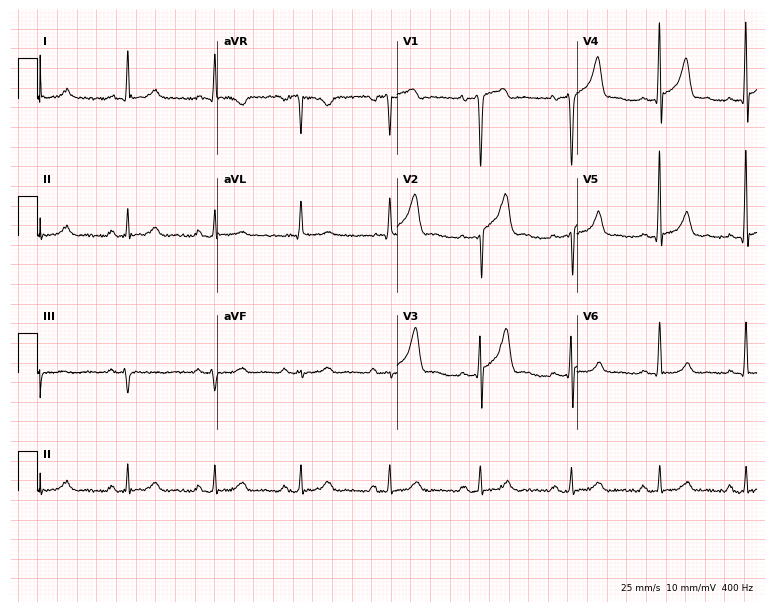
12-lead ECG (7.3-second recording at 400 Hz) from a man, 45 years old. Screened for six findings — first-degree AV block, right bundle branch block (RBBB), left bundle branch block (LBBB), sinus bradycardia, atrial fibrillation (AF), sinus tachycardia — none is recorded.